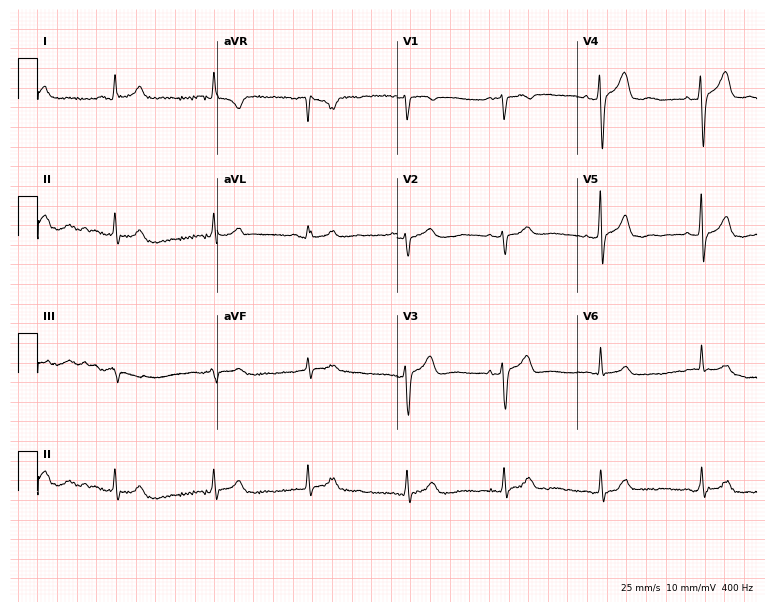
12-lead ECG (7.3-second recording at 400 Hz) from a 56-year-old woman. Screened for six findings — first-degree AV block, right bundle branch block, left bundle branch block, sinus bradycardia, atrial fibrillation, sinus tachycardia — none is recorded.